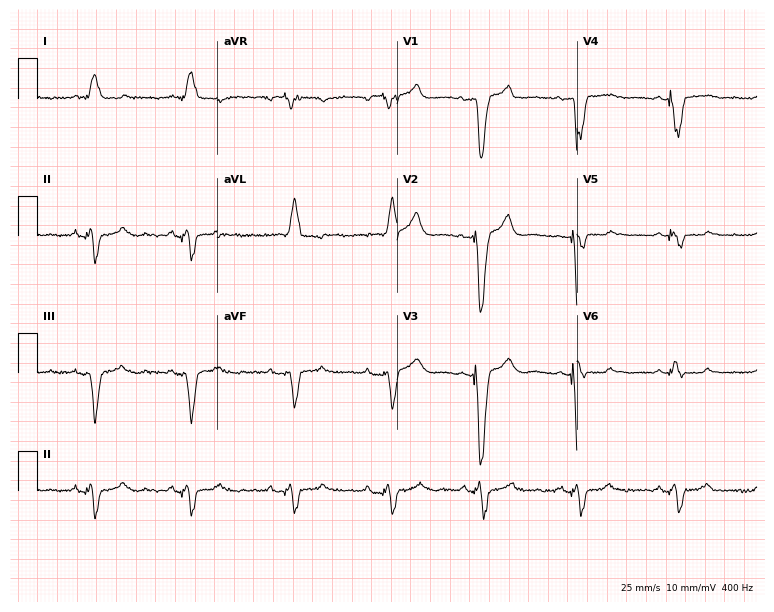
12-lead ECG from a 46-year-old female patient. No first-degree AV block, right bundle branch block (RBBB), left bundle branch block (LBBB), sinus bradycardia, atrial fibrillation (AF) or sinus tachycardia recorded for this tracing.